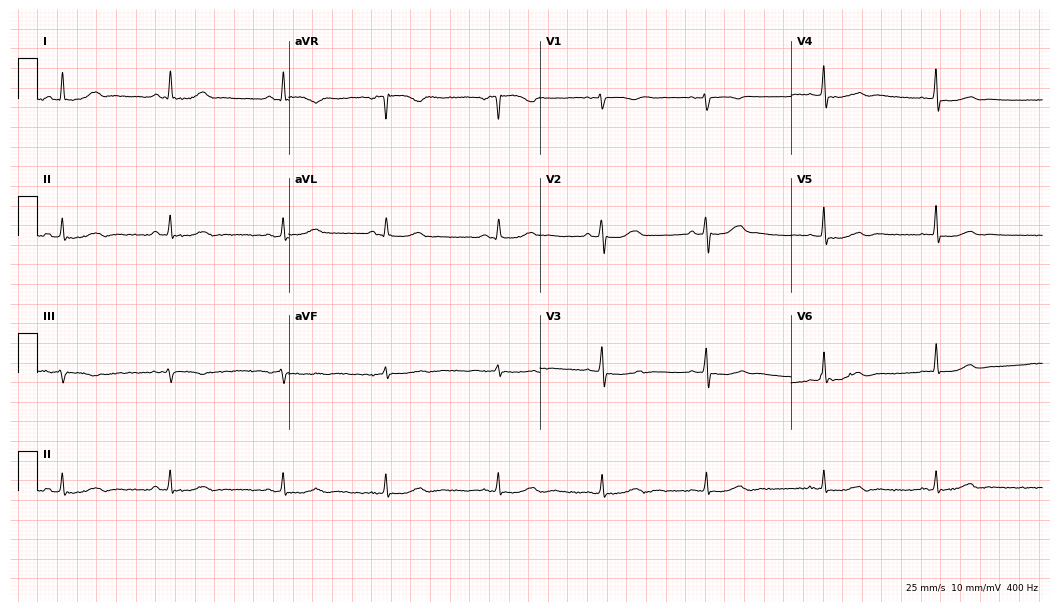
Standard 12-lead ECG recorded from a 69-year-old woman (10.2-second recording at 400 Hz). None of these six findings is recorded: first-degree AV block, right bundle branch block, left bundle branch block, sinus bradycardia, atrial fibrillation, sinus tachycardia.